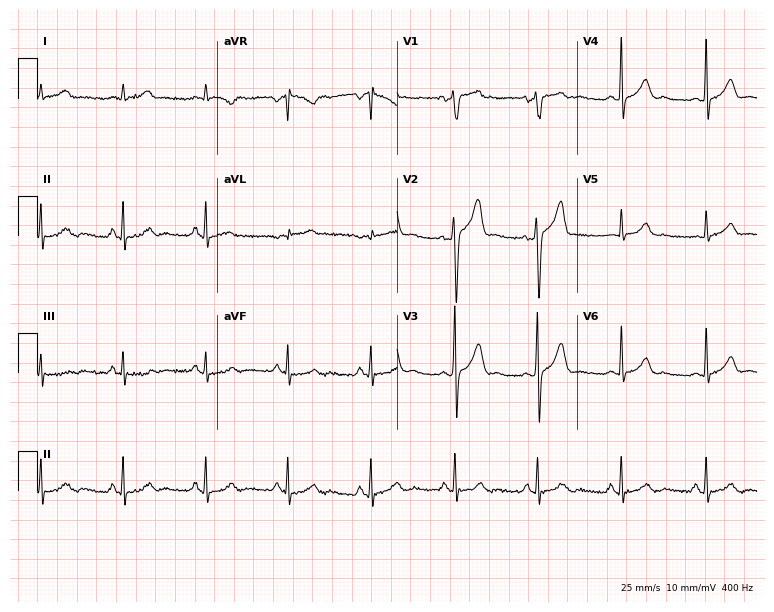
Electrocardiogram, a male patient, 45 years old. Overall reading on record: normal ECG.